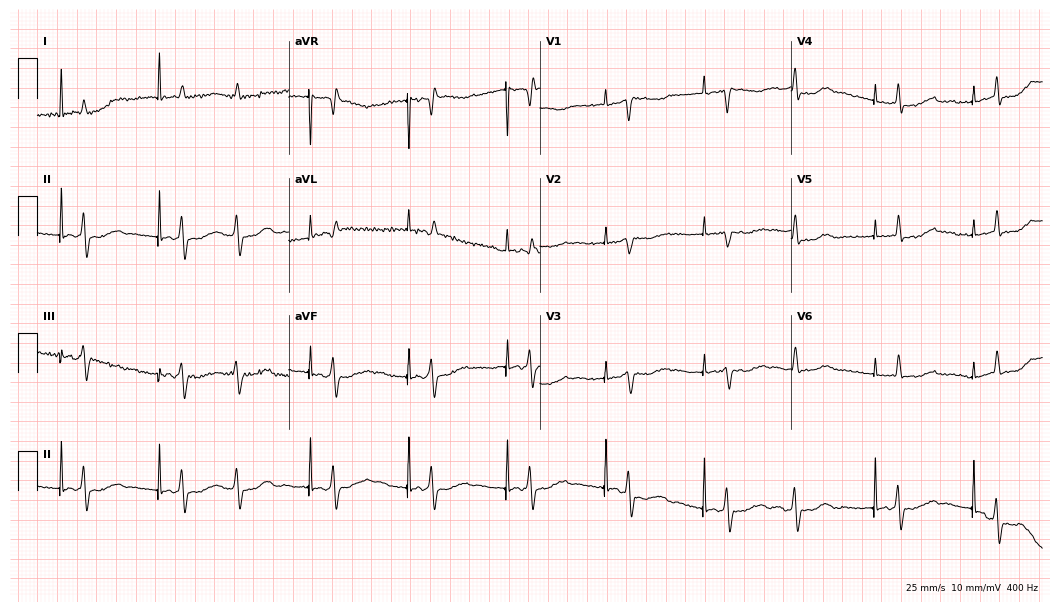
ECG (10.2-second recording at 400 Hz) — a male patient, 80 years old. Screened for six findings — first-degree AV block, right bundle branch block, left bundle branch block, sinus bradycardia, atrial fibrillation, sinus tachycardia — none is recorded.